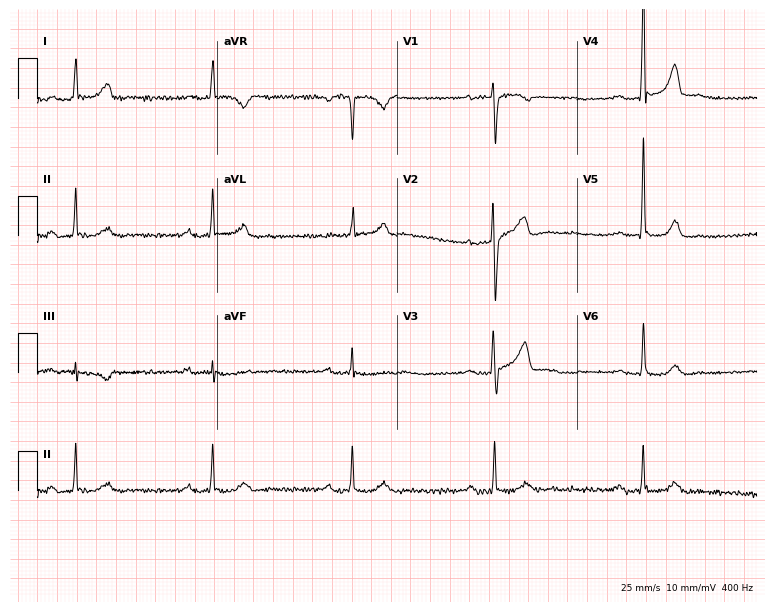
ECG (7.3-second recording at 400 Hz) — a male, 70 years old. Findings include first-degree AV block, sinus bradycardia (a sinus rate of 50 beats per minute or less).